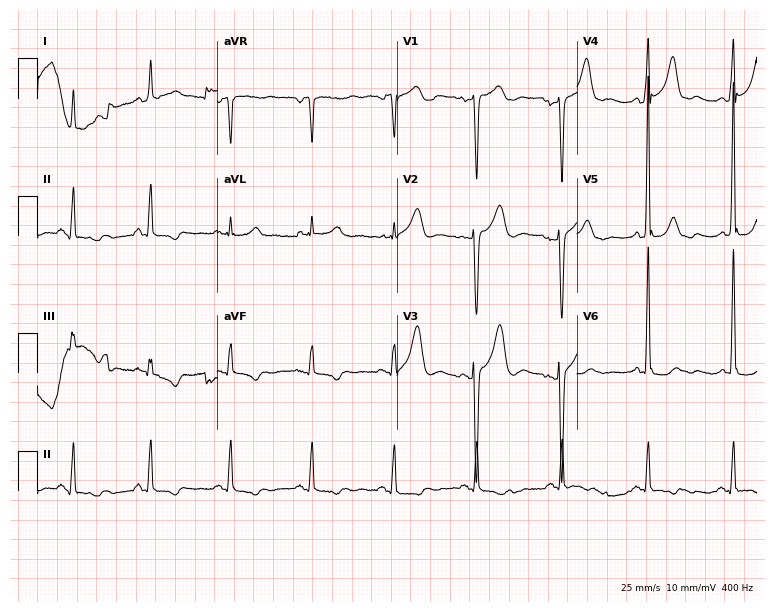
12-lead ECG from a 67-year-old male. No first-degree AV block, right bundle branch block, left bundle branch block, sinus bradycardia, atrial fibrillation or sinus tachycardia recorded for this tracing. Findings outside these six are not listed.